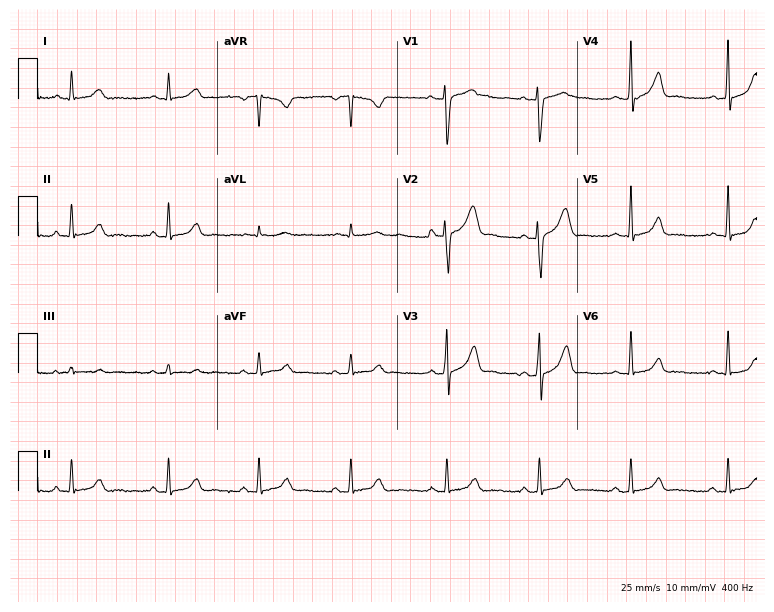
Standard 12-lead ECG recorded from a woman, 28 years old (7.3-second recording at 400 Hz). None of these six findings is recorded: first-degree AV block, right bundle branch block (RBBB), left bundle branch block (LBBB), sinus bradycardia, atrial fibrillation (AF), sinus tachycardia. Other findings, if any, are not listed.